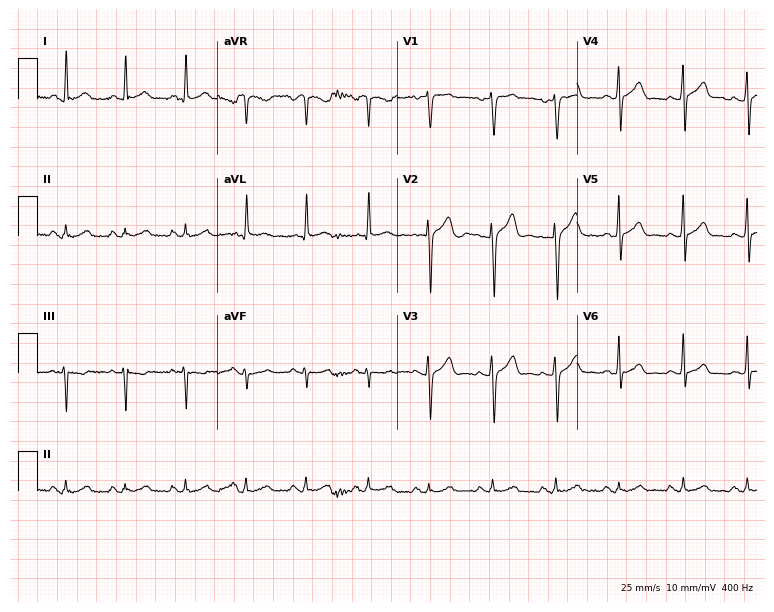
12-lead ECG from a man, 28 years old (7.3-second recording at 400 Hz). Recorded interpretation: within normal limits.